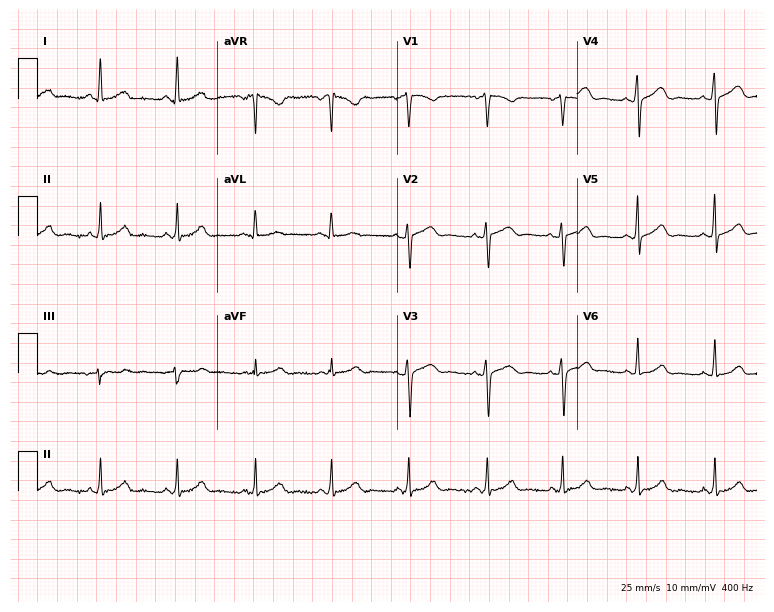
Electrocardiogram, a 33-year-old woman. Overall reading on record: normal ECG.